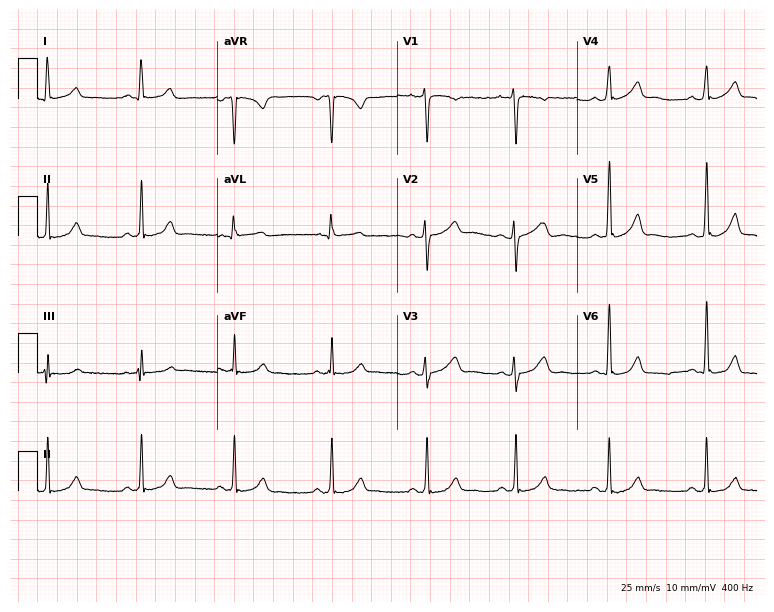
Resting 12-lead electrocardiogram. Patient: a woman, 23 years old. None of these six findings is recorded: first-degree AV block, right bundle branch block, left bundle branch block, sinus bradycardia, atrial fibrillation, sinus tachycardia. Findings outside these six are not listed.